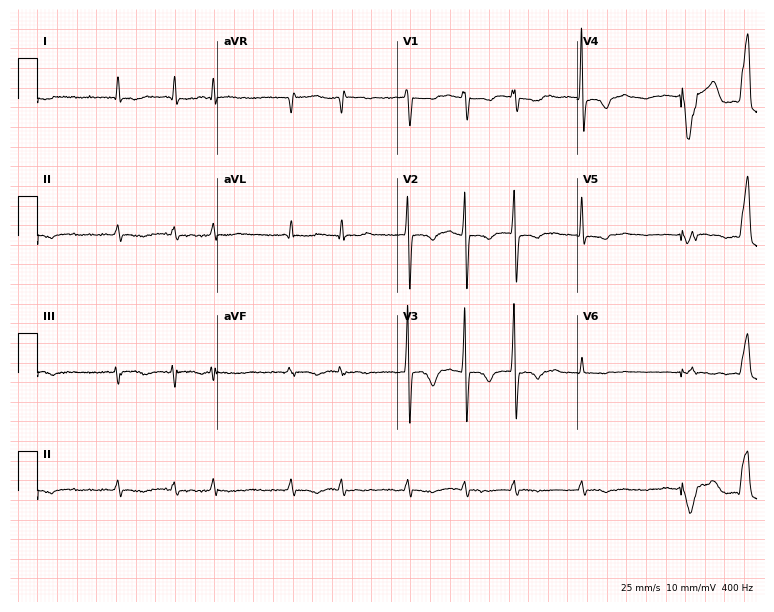
ECG (7.3-second recording at 400 Hz) — a 74-year-old female patient. Findings include atrial fibrillation.